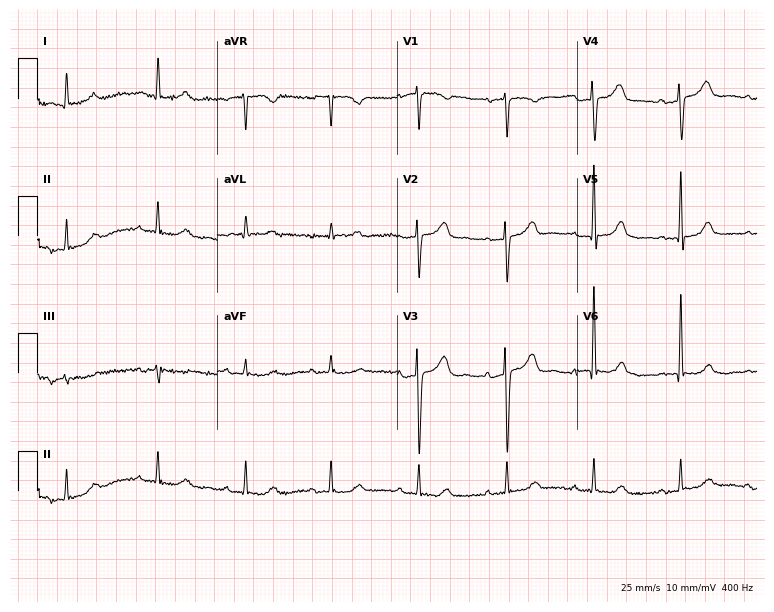
Electrocardiogram (7.3-second recording at 400 Hz), a female patient, 85 years old. Overall reading on record: normal ECG.